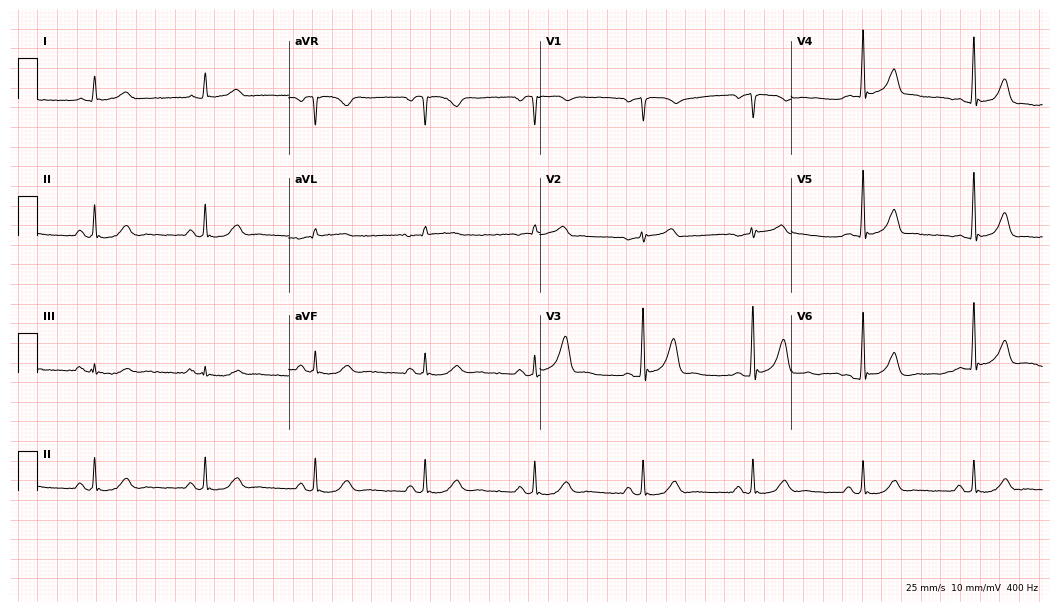
Standard 12-lead ECG recorded from a man, 65 years old. Read as a normal ECG.